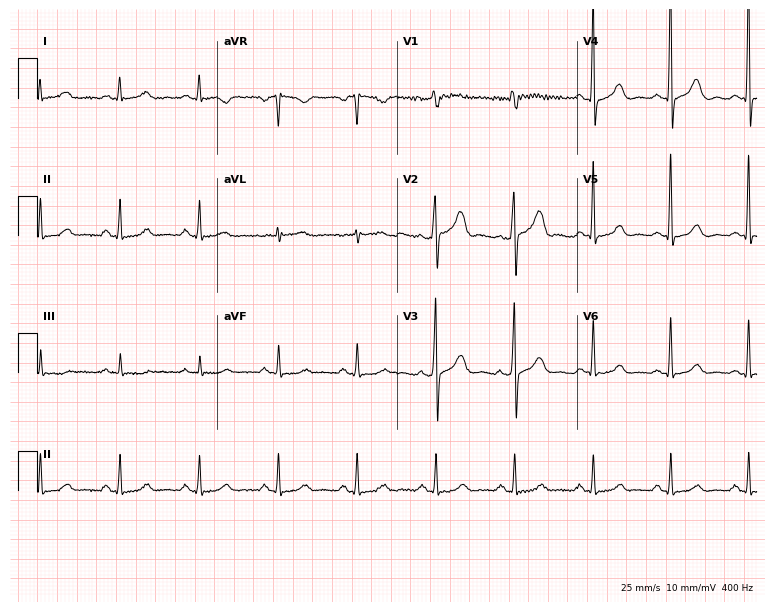
Resting 12-lead electrocardiogram (7.3-second recording at 400 Hz). Patient: a female, 56 years old. Read as a normal ECG.